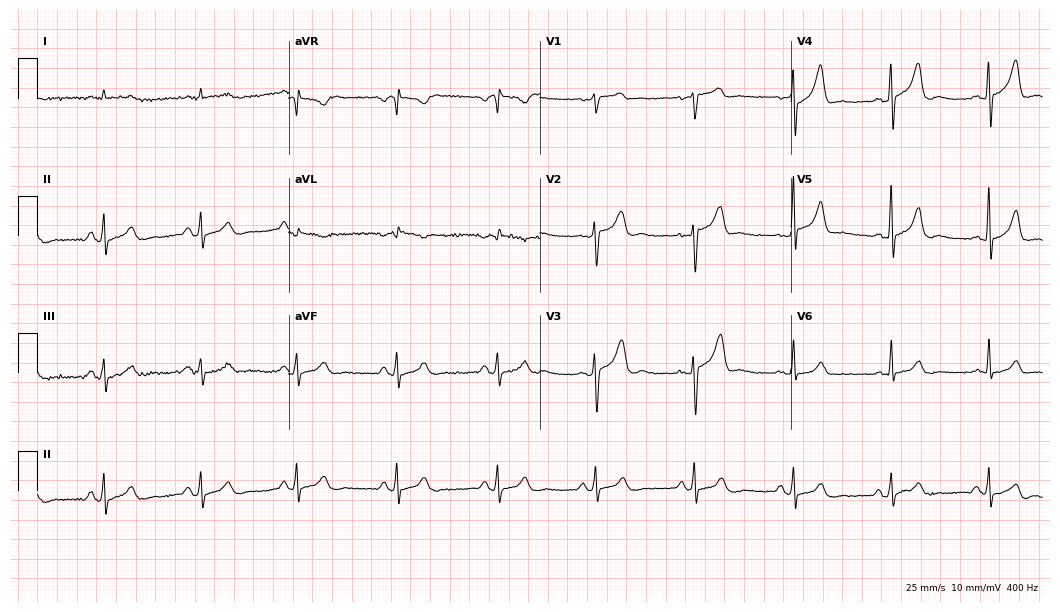
12-lead ECG from a 76-year-old man. No first-degree AV block, right bundle branch block (RBBB), left bundle branch block (LBBB), sinus bradycardia, atrial fibrillation (AF) or sinus tachycardia recorded for this tracing. Only these six findings were labelled.